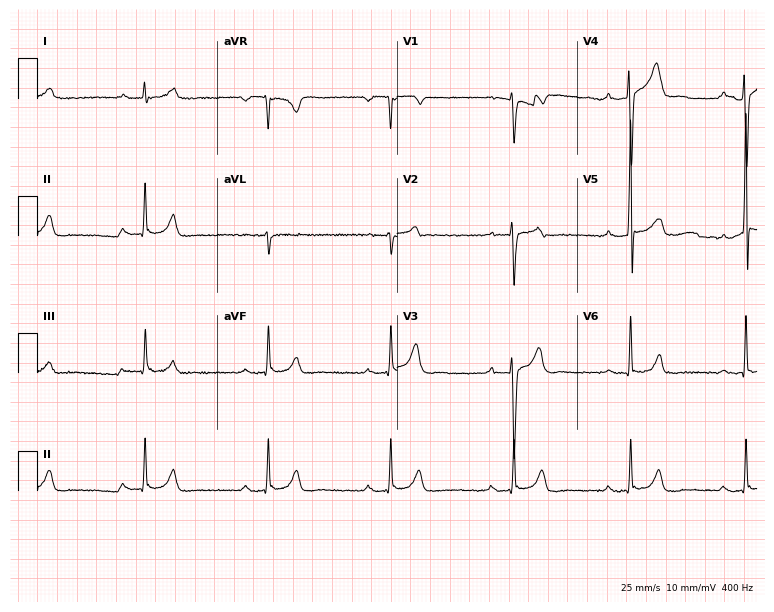
12-lead ECG from a man, 32 years old. Shows first-degree AV block, sinus bradycardia (a sinus rate of 50 beats per minute or less).